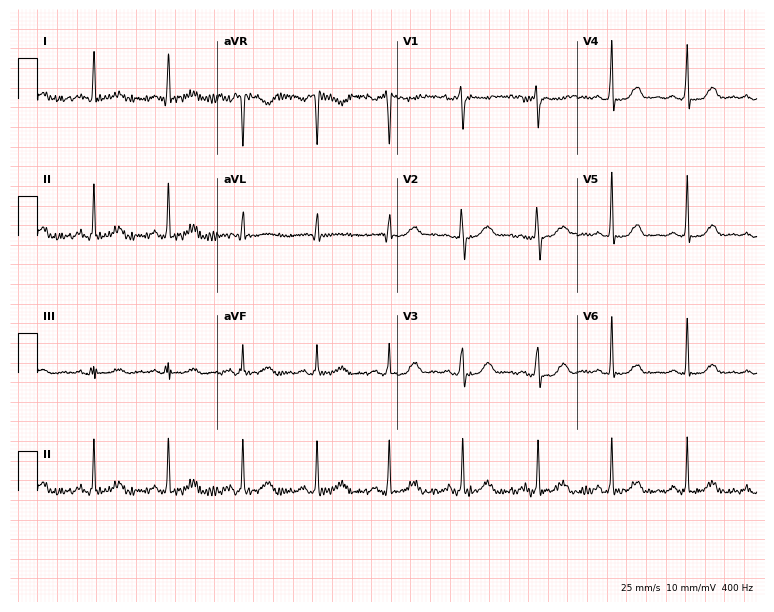
12-lead ECG from a 42-year-old female. Labelled as a normal ECG.